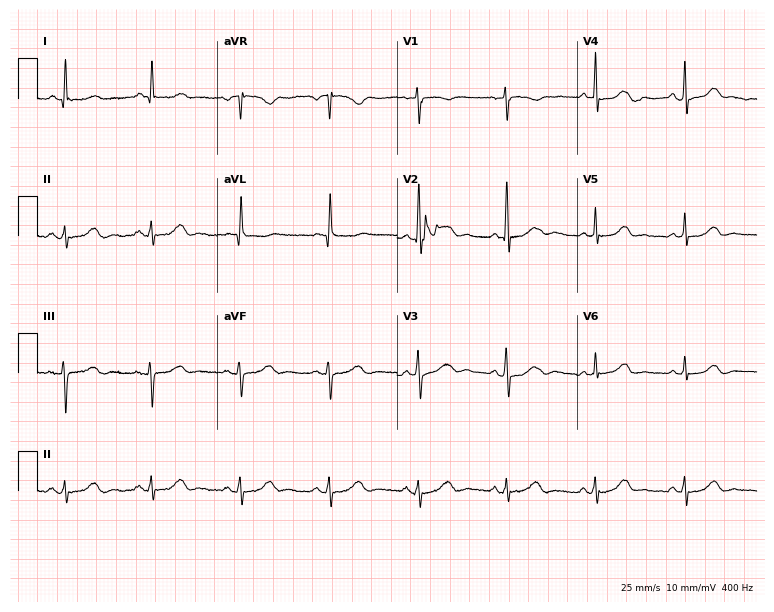
12-lead ECG (7.3-second recording at 400 Hz) from a female patient, 67 years old. Labelled as a normal ECG.